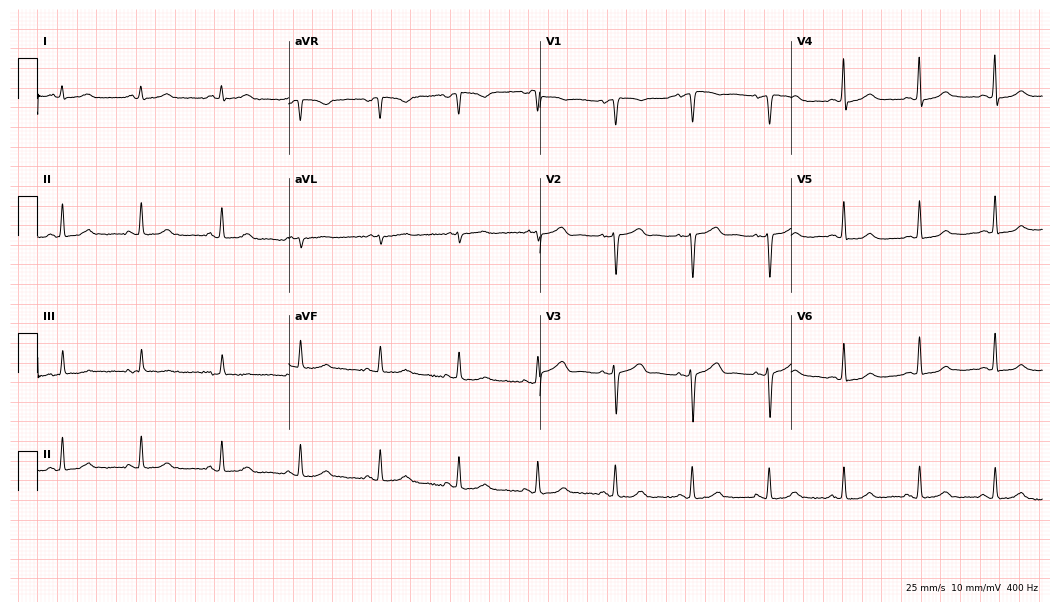
Resting 12-lead electrocardiogram (10.2-second recording at 400 Hz). Patient: a 49-year-old female. None of these six findings is recorded: first-degree AV block, right bundle branch block, left bundle branch block, sinus bradycardia, atrial fibrillation, sinus tachycardia.